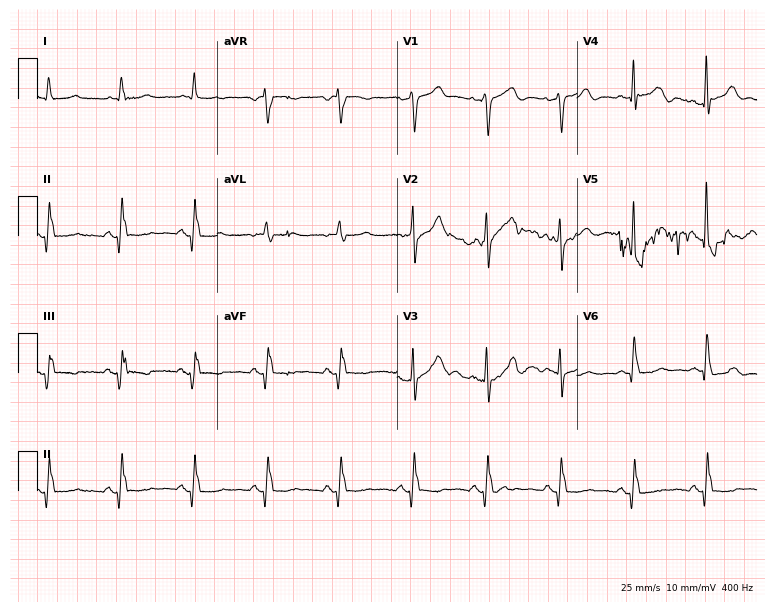
12-lead ECG from a male, 84 years old (7.3-second recording at 400 Hz). No first-degree AV block, right bundle branch block, left bundle branch block, sinus bradycardia, atrial fibrillation or sinus tachycardia recorded for this tracing.